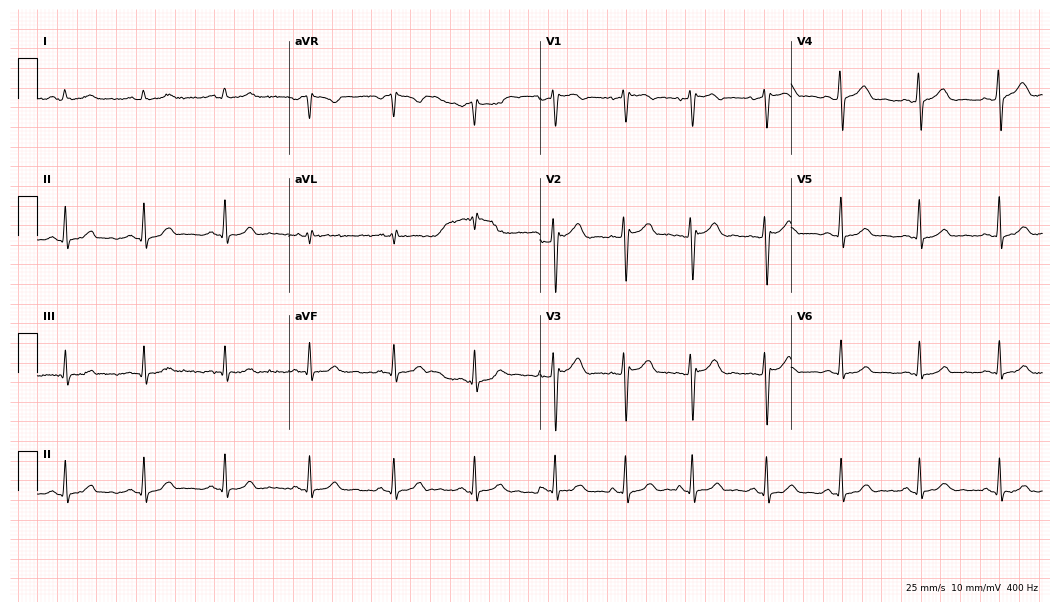
Standard 12-lead ECG recorded from a female, 39 years old (10.2-second recording at 400 Hz). None of these six findings is recorded: first-degree AV block, right bundle branch block (RBBB), left bundle branch block (LBBB), sinus bradycardia, atrial fibrillation (AF), sinus tachycardia.